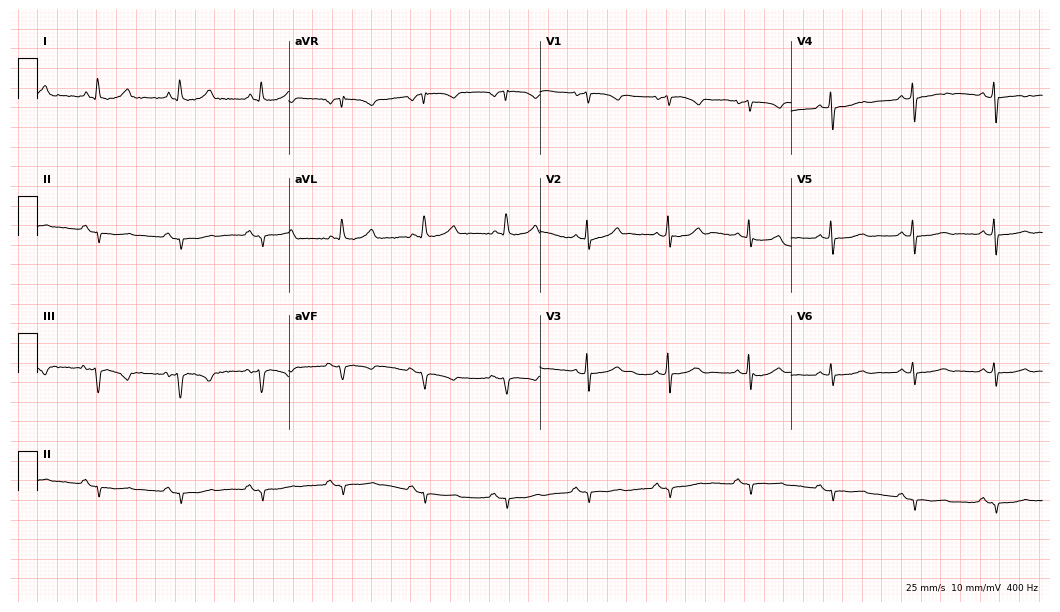
Standard 12-lead ECG recorded from a 70-year-old female. None of these six findings is recorded: first-degree AV block, right bundle branch block, left bundle branch block, sinus bradycardia, atrial fibrillation, sinus tachycardia.